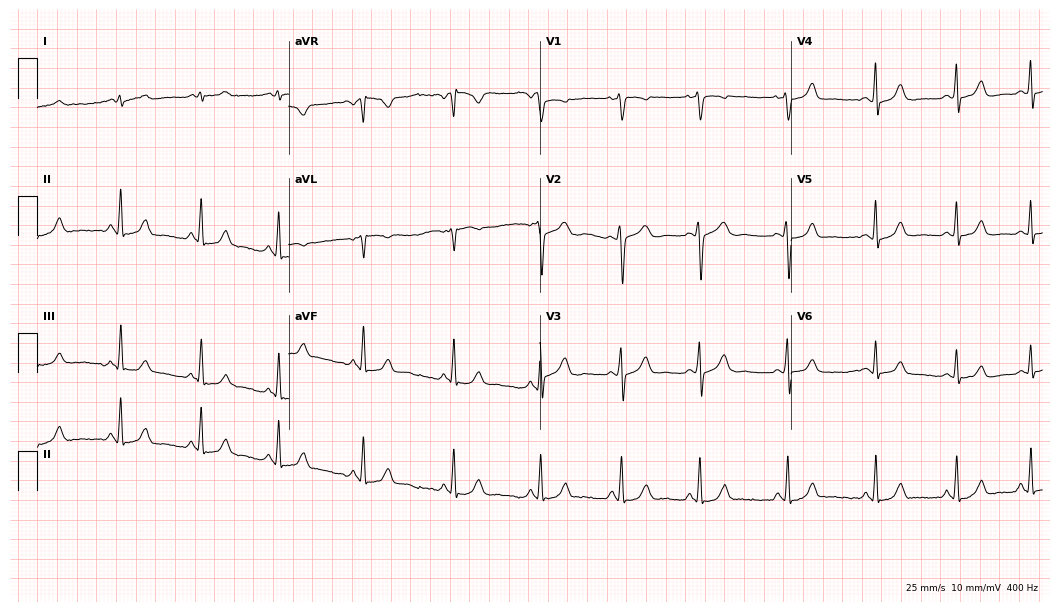
Resting 12-lead electrocardiogram (10.2-second recording at 400 Hz). Patient: a female, 19 years old. None of these six findings is recorded: first-degree AV block, right bundle branch block (RBBB), left bundle branch block (LBBB), sinus bradycardia, atrial fibrillation (AF), sinus tachycardia.